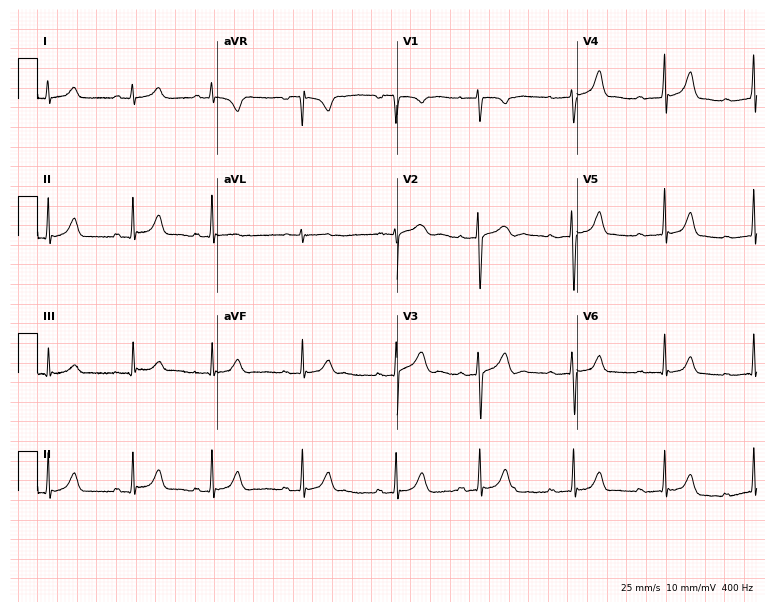
Electrocardiogram (7.3-second recording at 400 Hz), a female, 18 years old. Of the six screened findings (first-degree AV block, right bundle branch block (RBBB), left bundle branch block (LBBB), sinus bradycardia, atrial fibrillation (AF), sinus tachycardia), none is recorded. Only these six findings were labelled.